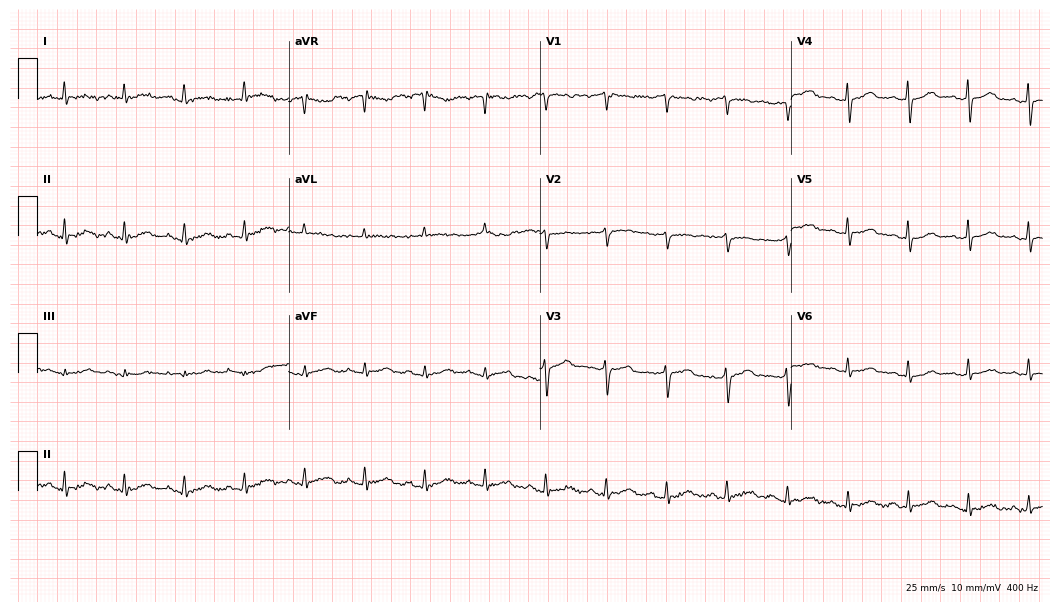
12-lead ECG from a female patient, 52 years old (10.2-second recording at 400 Hz). No first-degree AV block, right bundle branch block (RBBB), left bundle branch block (LBBB), sinus bradycardia, atrial fibrillation (AF) or sinus tachycardia recorded for this tracing. Findings outside these six are not listed.